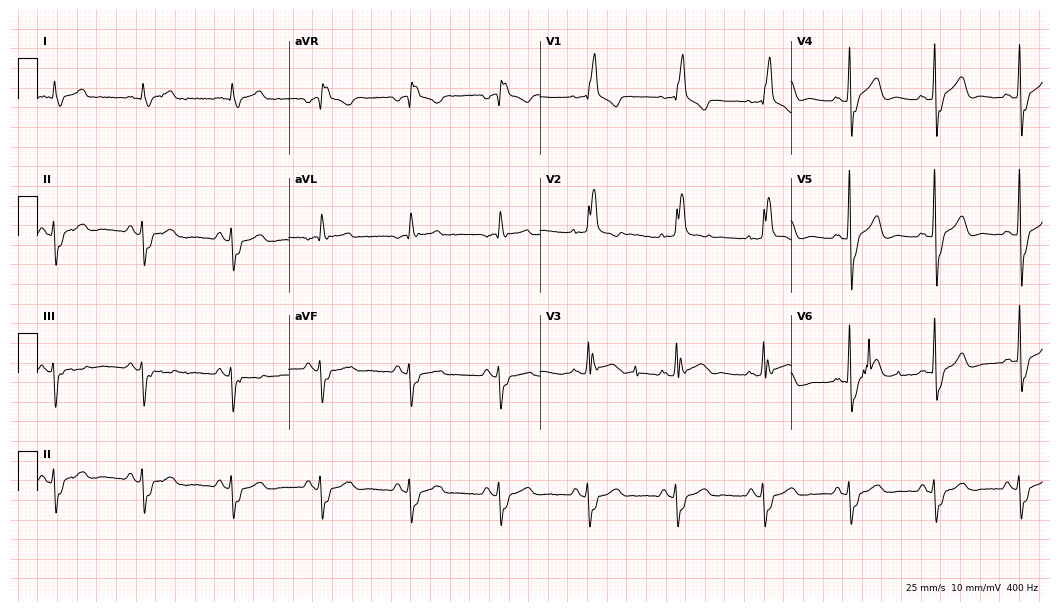
12-lead ECG (10.2-second recording at 400 Hz) from a male patient, 72 years old. Findings include atrial fibrillation.